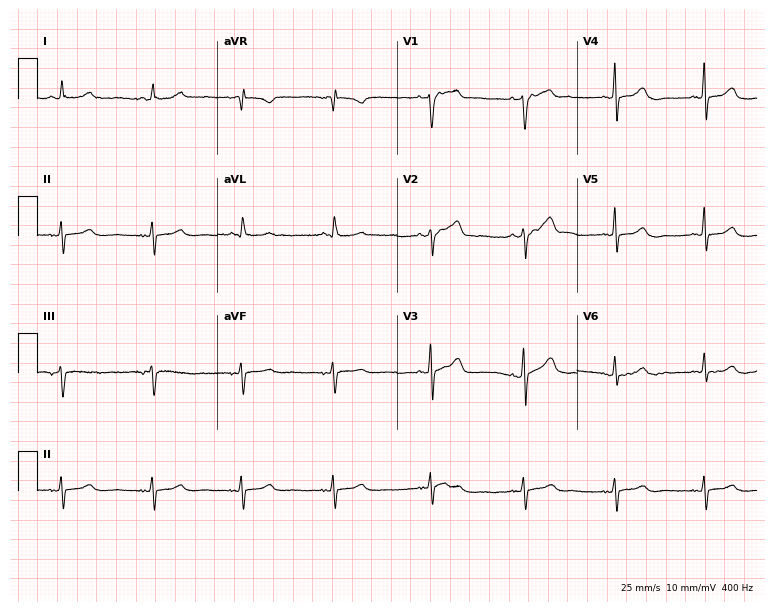
12-lead ECG from a 69-year-old female. Recorded interpretation: within normal limits.